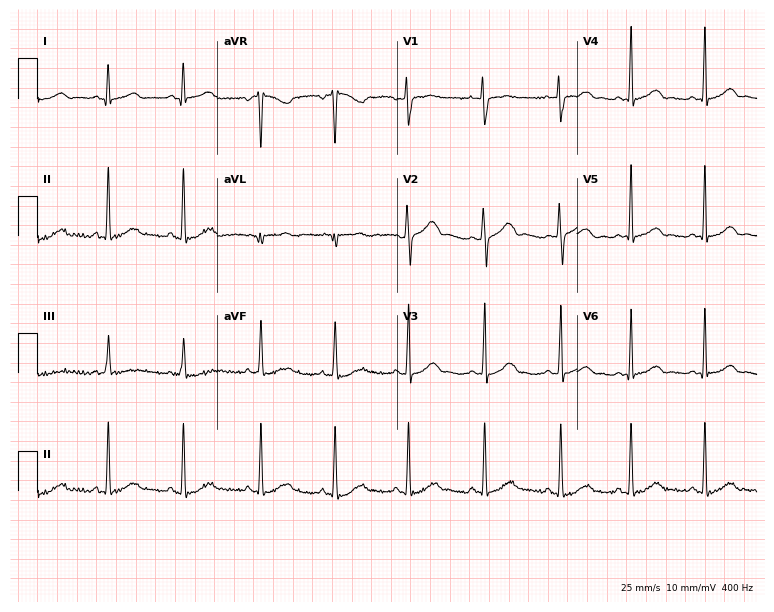
Electrocardiogram, a 17-year-old female patient. Of the six screened findings (first-degree AV block, right bundle branch block, left bundle branch block, sinus bradycardia, atrial fibrillation, sinus tachycardia), none is recorded.